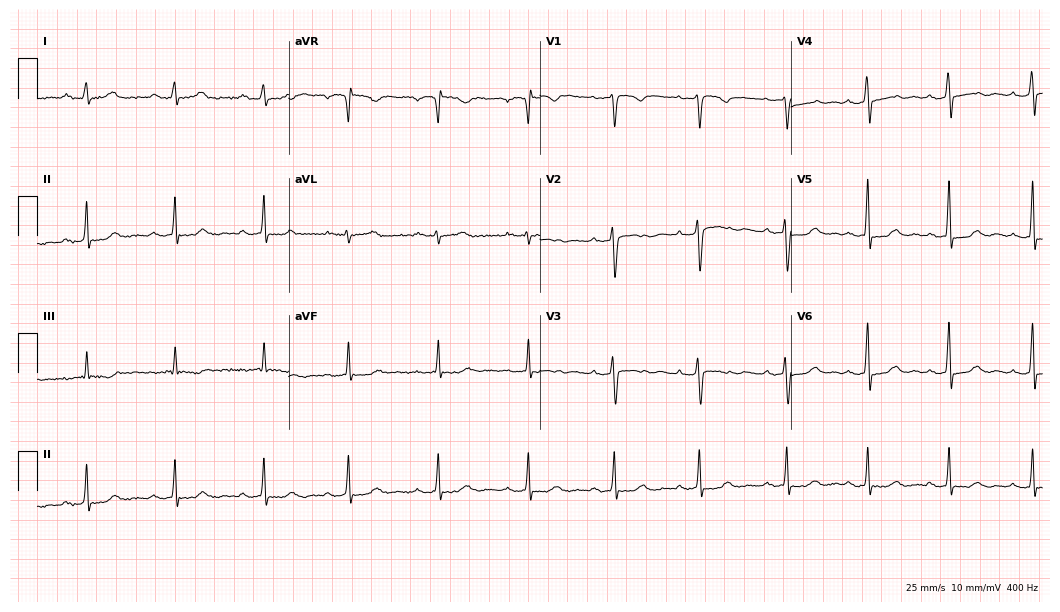
ECG — a woman, 40 years old. Screened for six findings — first-degree AV block, right bundle branch block (RBBB), left bundle branch block (LBBB), sinus bradycardia, atrial fibrillation (AF), sinus tachycardia — none is recorded.